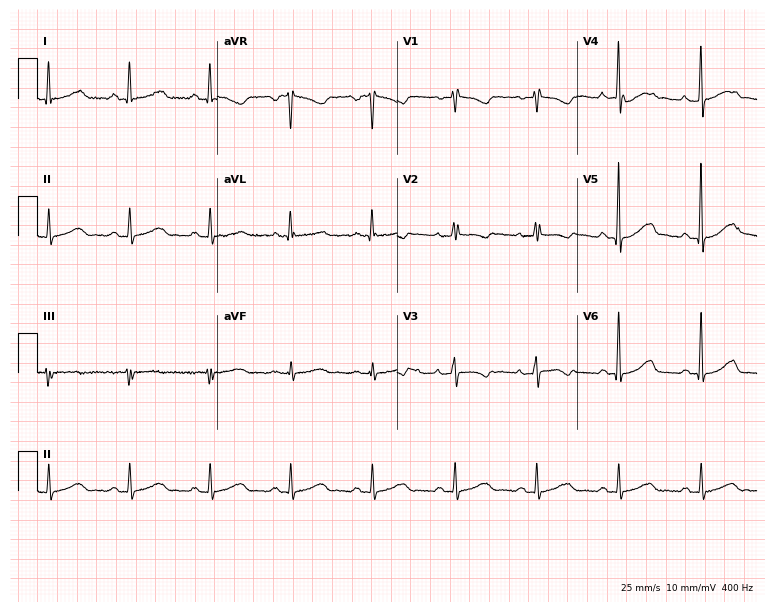
Resting 12-lead electrocardiogram (7.3-second recording at 400 Hz). Patient: a 49-year-old female. None of these six findings is recorded: first-degree AV block, right bundle branch block (RBBB), left bundle branch block (LBBB), sinus bradycardia, atrial fibrillation (AF), sinus tachycardia. Other findings, if any, are not listed.